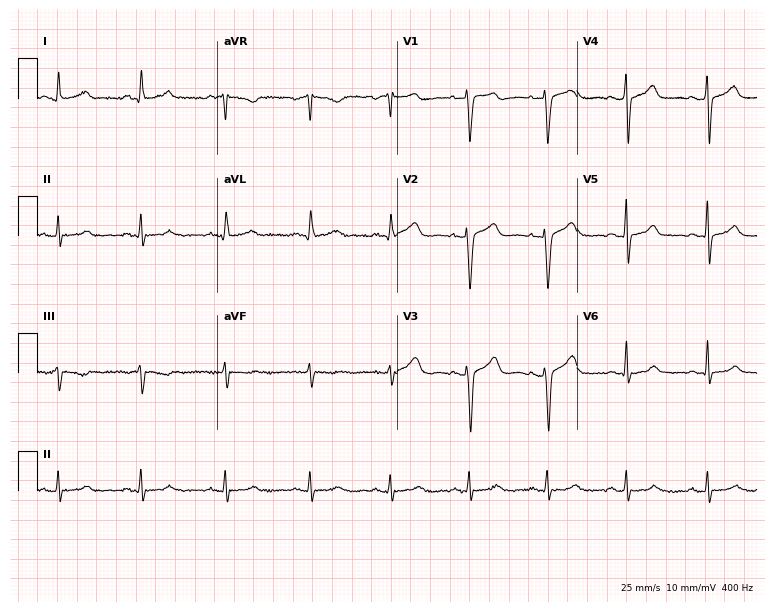
Standard 12-lead ECG recorded from a 51-year-old female. None of these six findings is recorded: first-degree AV block, right bundle branch block (RBBB), left bundle branch block (LBBB), sinus bradycardia, atrial fibrillation (AF), sinus tachycardia. Only these six findings were labelled.